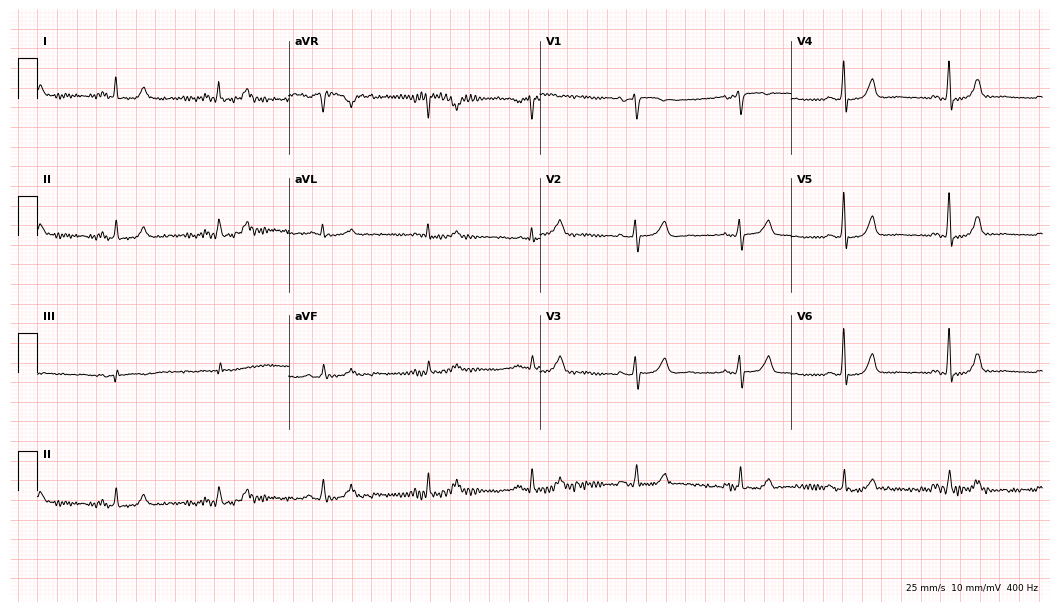
Standard 12-lead ECG recorded from a woman, 54 years old (10.2-second recording at 400 Hz). Read as a normal ECG.